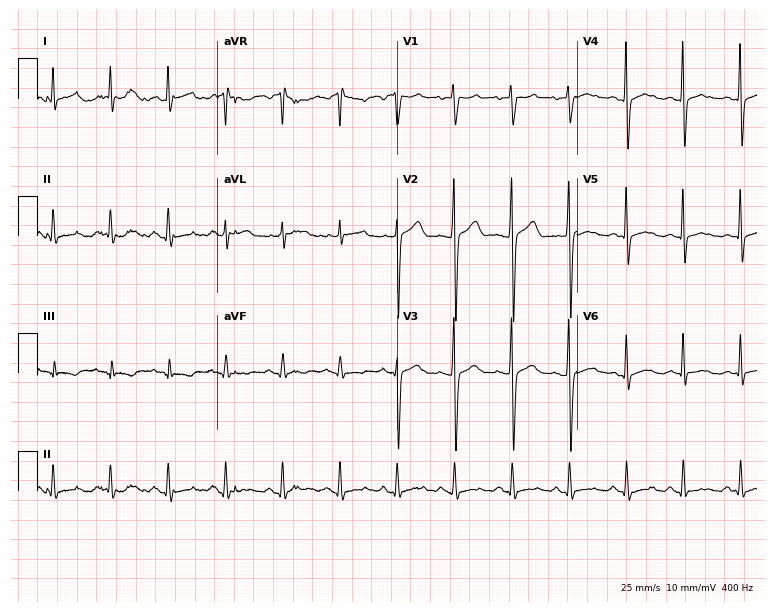
Standard 12-lead ECG recorded from a 40-year-old man. The tracing shows sinus tachycardia (a sinus rate of 100 beats per minute or more).